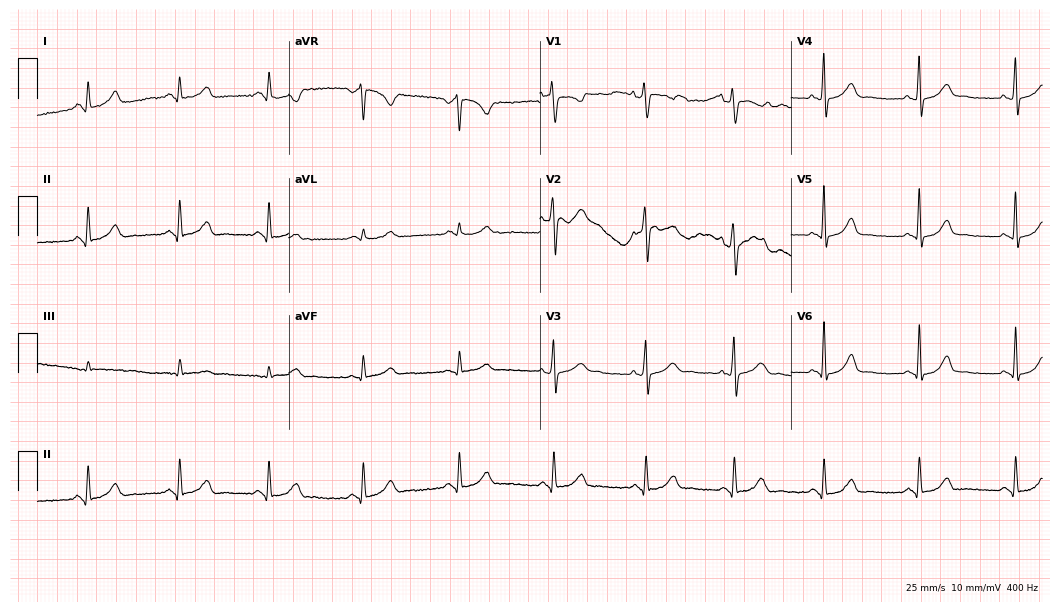
12-lead ECG (10.2-second recording at 400 Hz) from a 30-year-old female patient. Labelled as a normal ECG.